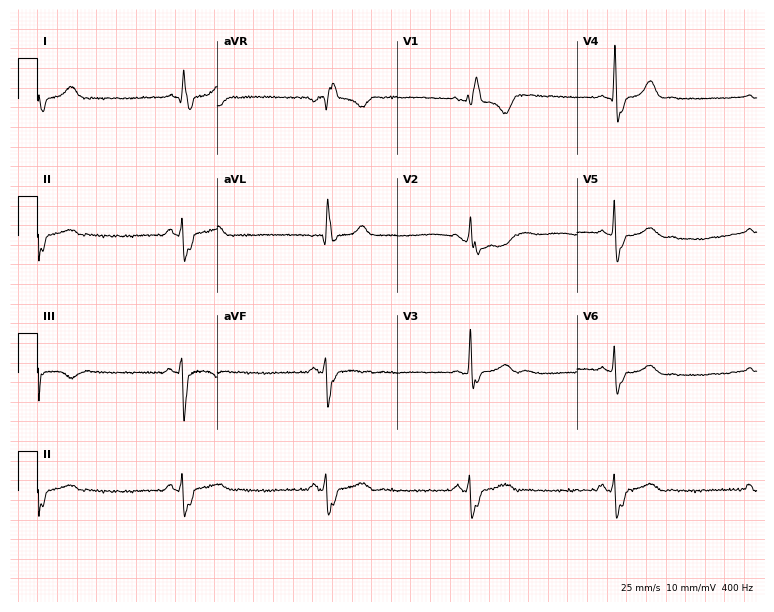
ECG — a 43-year-old female. Findings include right bundle branch block.